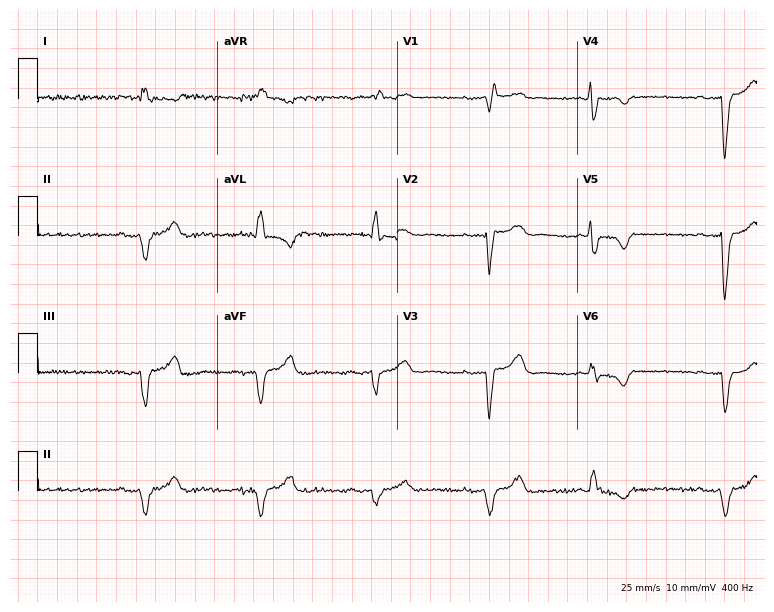
Standard 12-lead ECG recorded from a 65-year-old male patient (7.3-second recording at 400 Hz). The tracing shows right bundle branch block, atrial fibrillation.